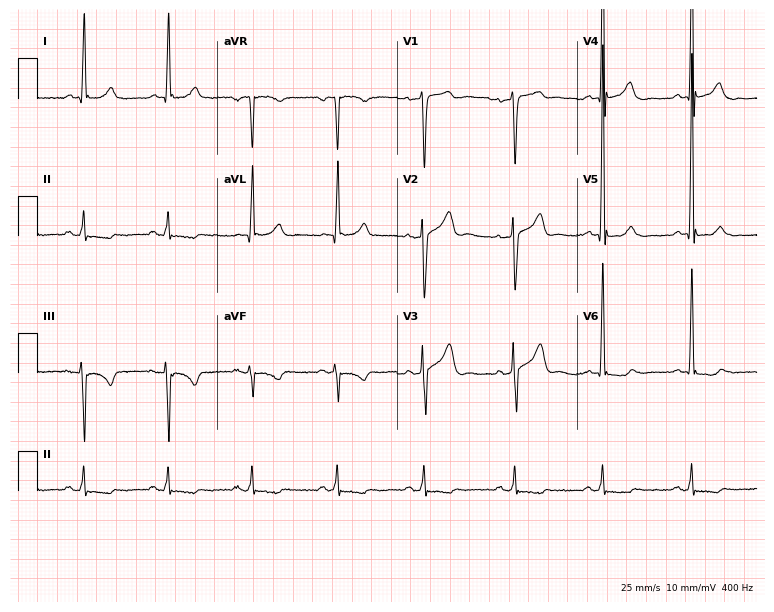
12-lead ECG from a 51-year-old male patient. No first-degree AV block, right bundle branch block, left bundle branch block, sinus bradycardia, atrial fibrillation or sinus tachycardia recorded for this tracing.